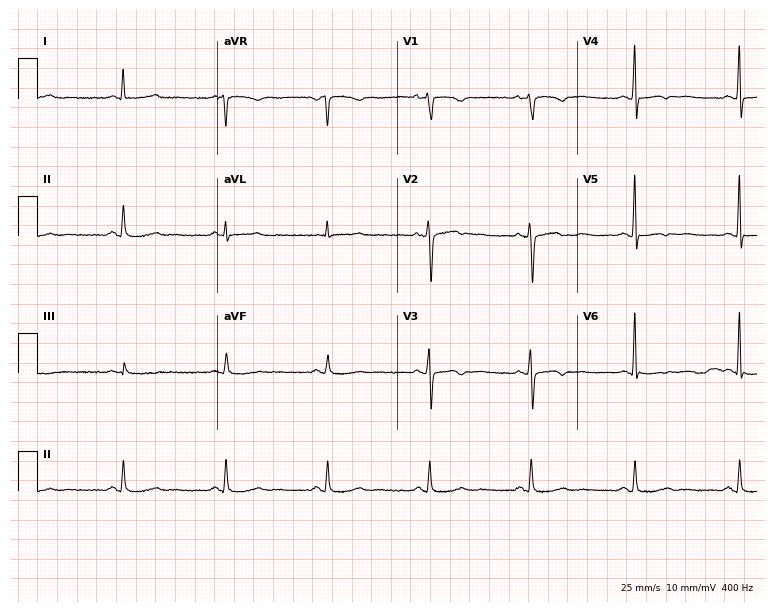
Standard 12-lead ECG recorded from a woman, 48 years old (7.3-second recording at 400 Hz). None of these six findings is recorded: first-degree AV block, right bundle branch block (RBBB), left bundle branch block (LBBB), sinus bradycardia, atrial fibrillation (AF), sinus tachycardia.